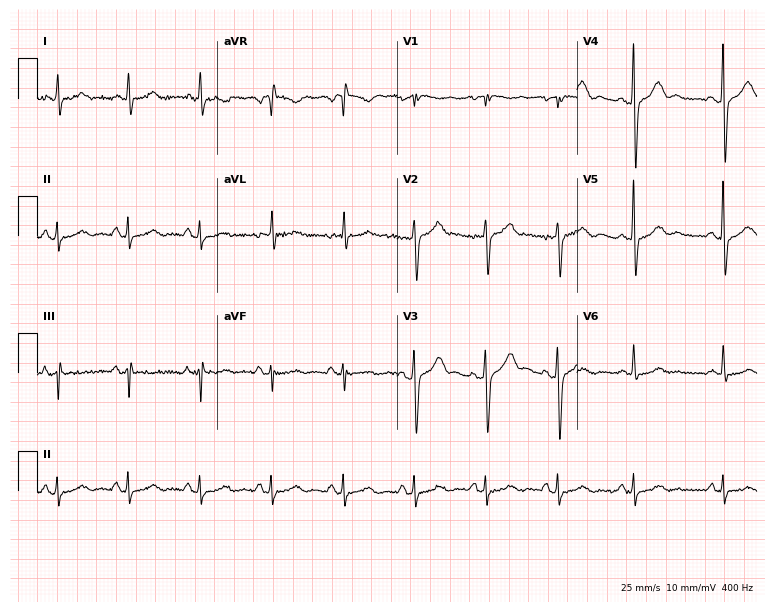
Resting 12-lead electrocardiogram (7.3-second recording at 400 Hz). Patient: a male, 42 years old. Read as a normal ECG.